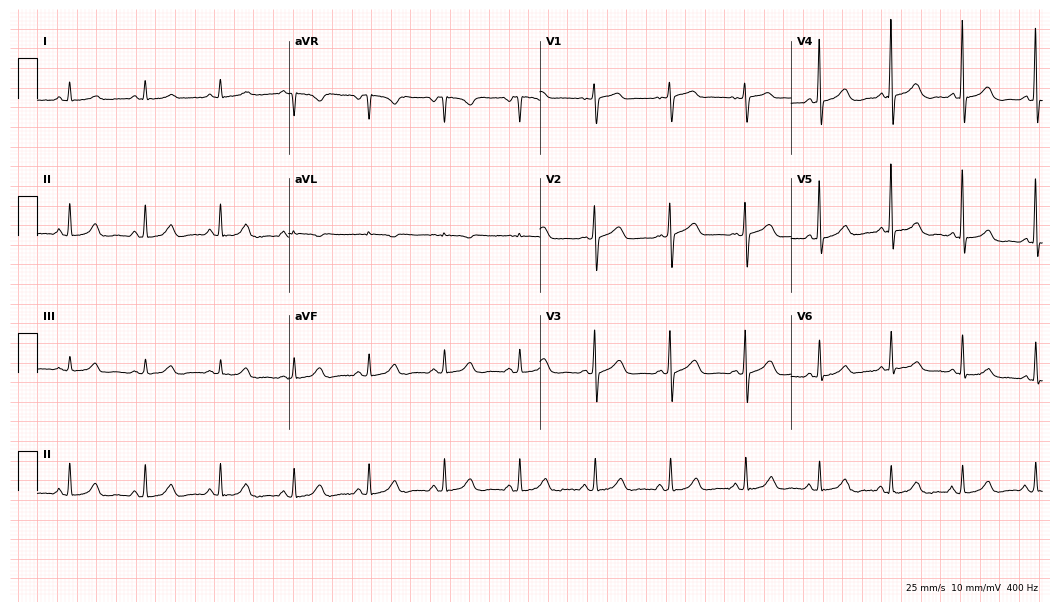
Electrocardiogram, a female patient, 81 years old. Overall reading on record: normal ECG.